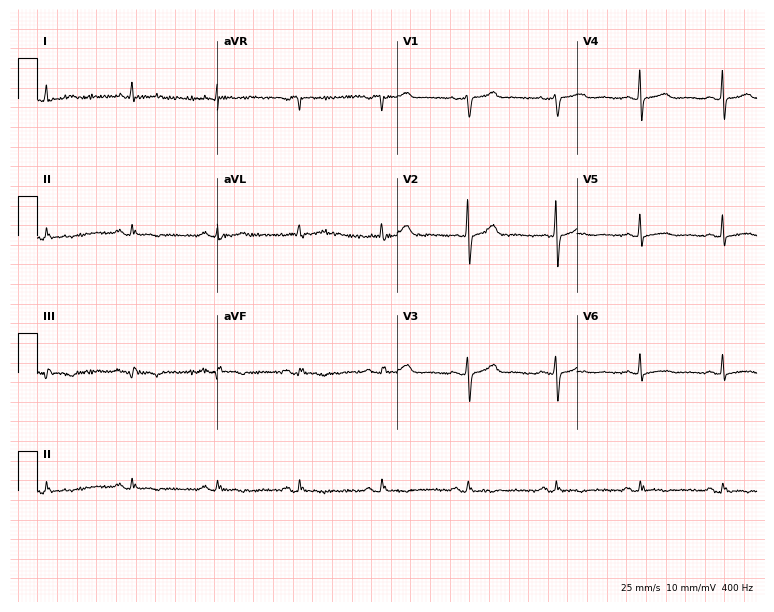
Resting 12-lead electrocardiogram. Patient: a female, 65 years old. None of these six findings is recorded: first-degree AV block, right bundle branch block, left bundle branch block, sinus bradycardia, atrial fibrillation, sinus tachycardia.